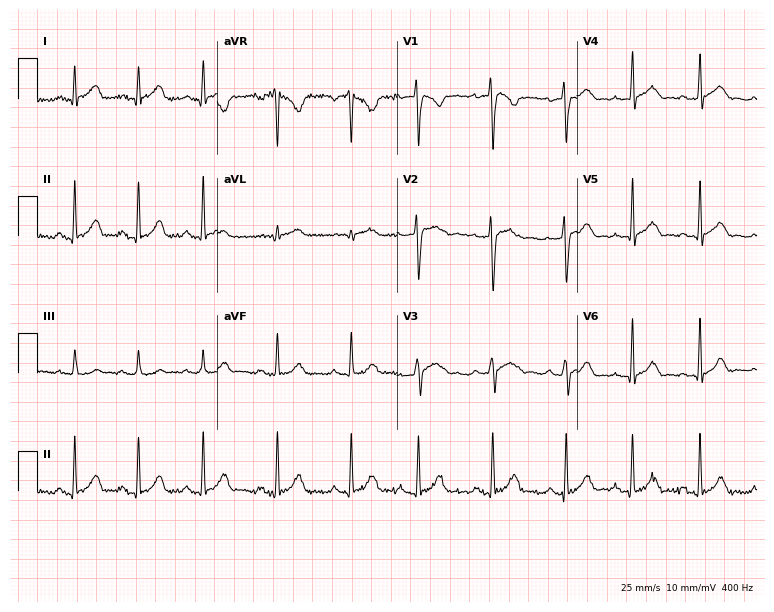
ECG (7.3-second recording at 400 Hz) — a 28-year-old female. Screened for six findings — first-degree AV block, right bundle branch block (RBBB), left bundle branch block (LBBB), sinus bradycardia, atrial fibrillation (AF), sinus tachycardia — none is recorded. Only these six findings were labelled.